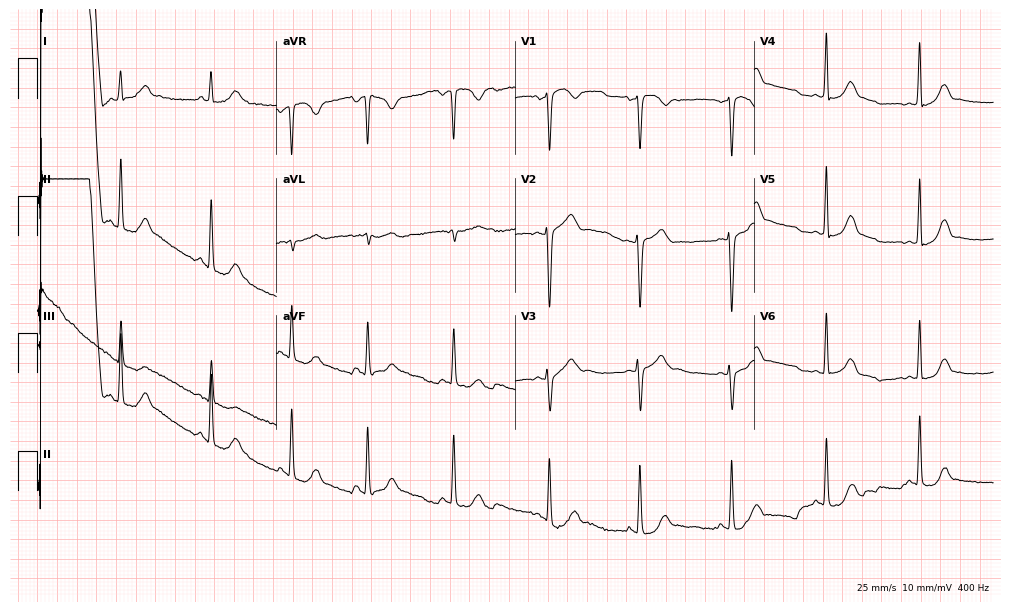
12-lead ECG from a 25-year-old female patient. Labelled as a normal ECG.